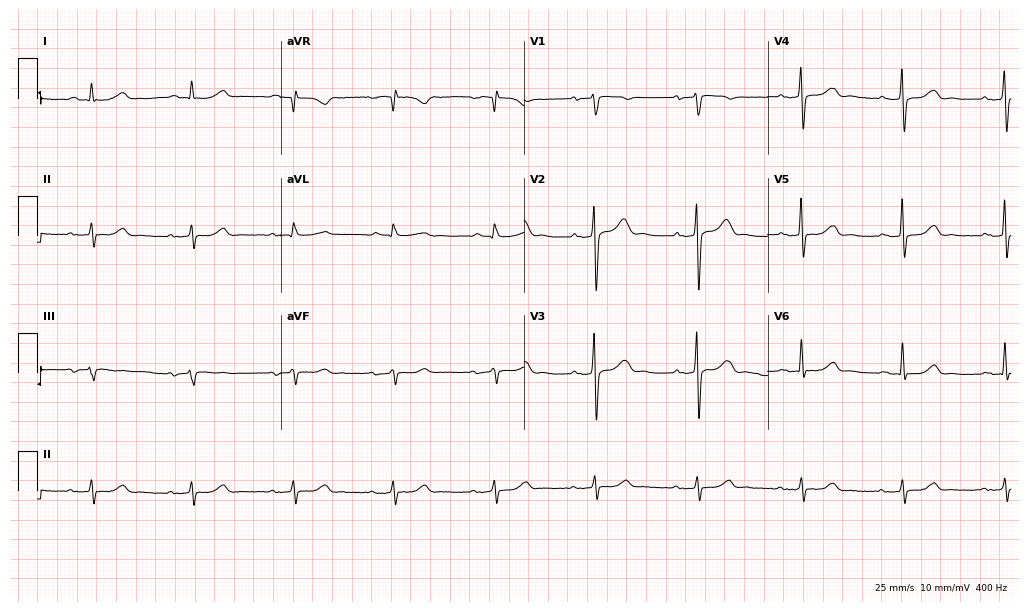
12-lead ECG from a 76-year-old man. Labelled as a normal ECG.